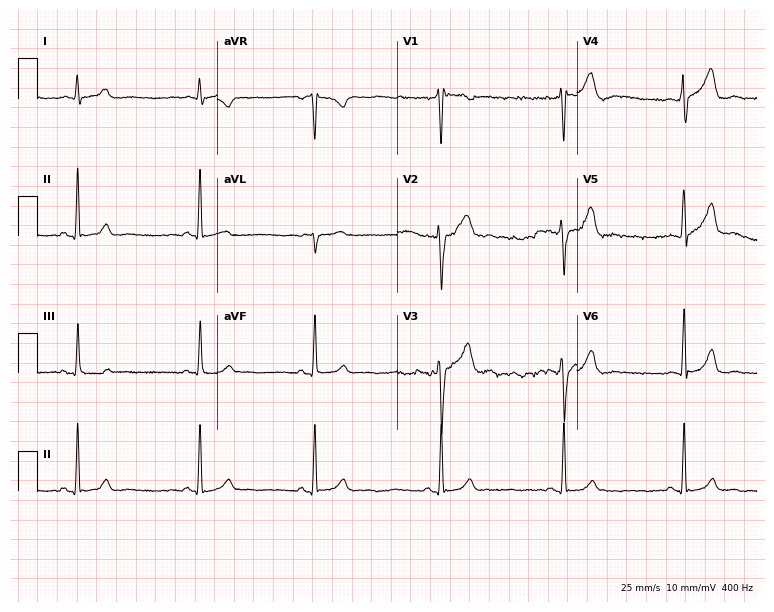
ECG (7.3-second recording at 400 Hz) — a 41-year-old male. Labelled as a normal ECG.